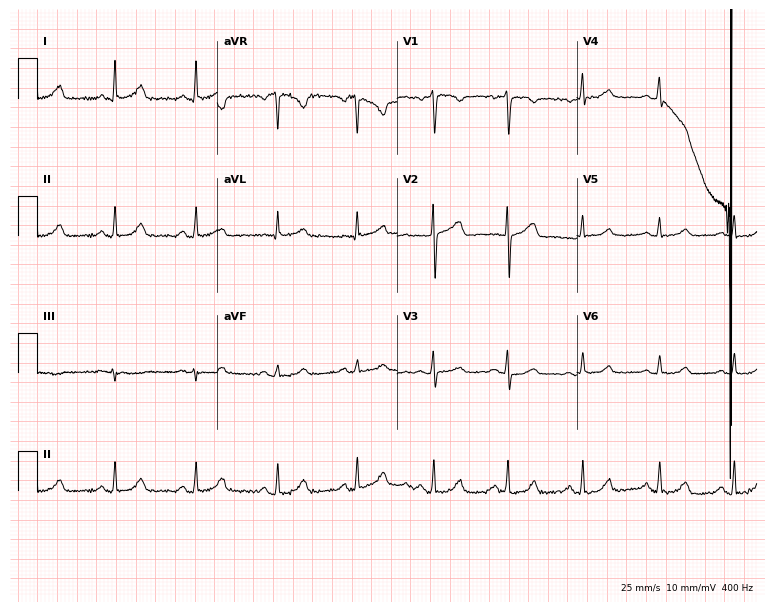
Resting 12-lead electrocardiogram. Patient: a female, 49 years old. Read as a normal ECG.